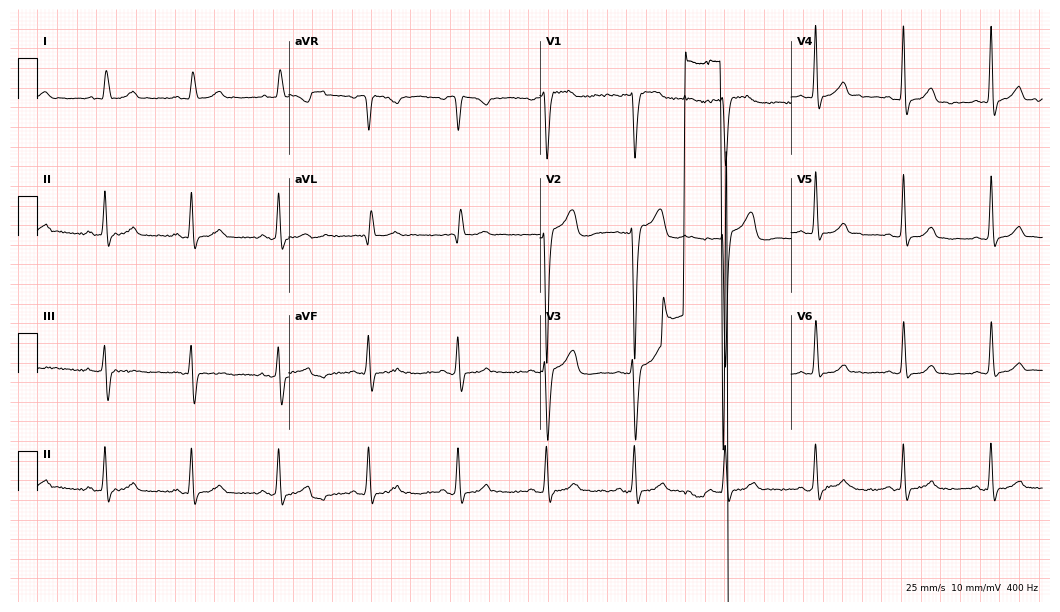
Electrocardiogram (10.2-second recording at 400 Hz), a 77-year-old woman. Of the six screened findings (first-degree AV block, right bundle branch block, left bundle branch block, sinus bradycardia, atrial fibrillation, sinus tachycardia), none is recorded.